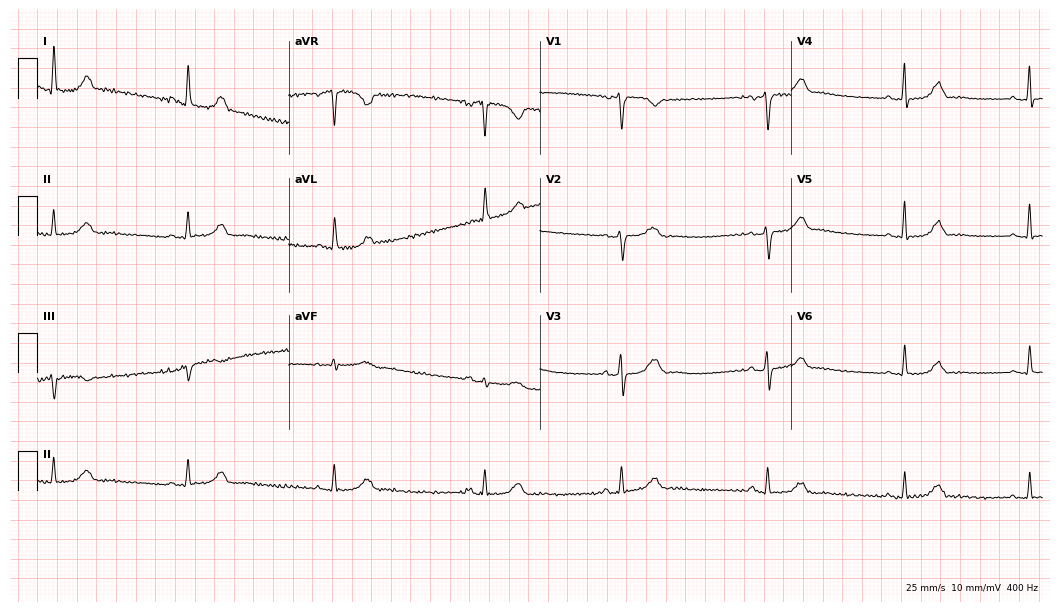
ECG (10.2-second recording at 400 Hz) — a female patient, 58 years old. Findings include sinus bradycardia (a sinus rate of 50 beats per minute or less).